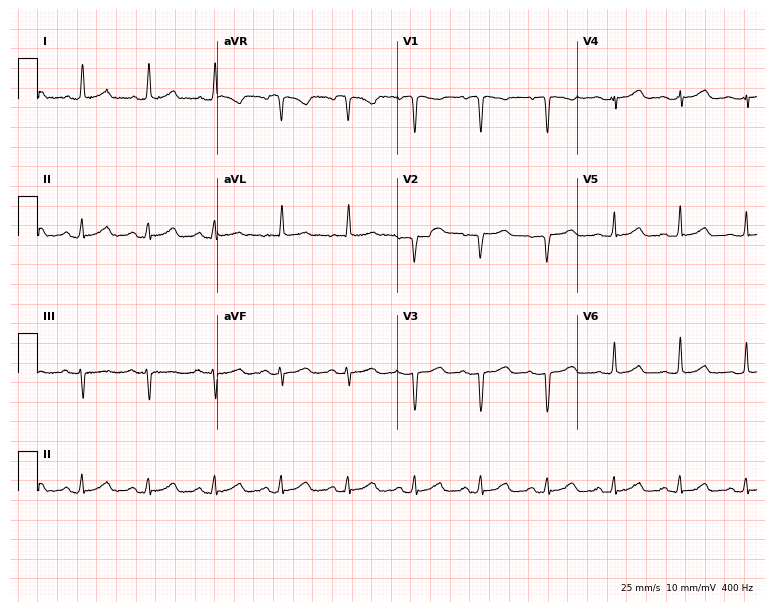
Standard 12-lead ECG recorded from a 48-year-old female patient. None of these six findings is recorded: first-degree AV block, right bundle branch block, left bundle branch block, sinus bradycardia, atrial fibrillation, sinus tachycardia. Other findings, if any, are not listed.